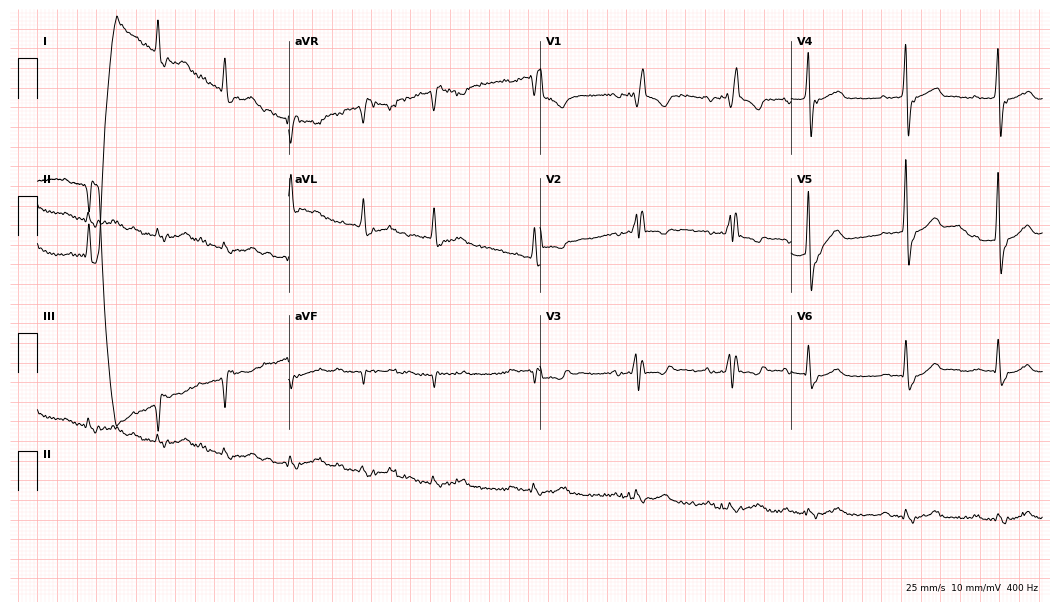
Resting 12-lead electrocardiogram (10.2-second recording at 400 Hz). Patient: an 83-year-old man. None of these six findings is recorded: first-degree AV block, right bundle branch block, left bundle branch block, sinus bradycardia, atrial fibrillation, sinus tachycardia. Only these six findings were labelled.